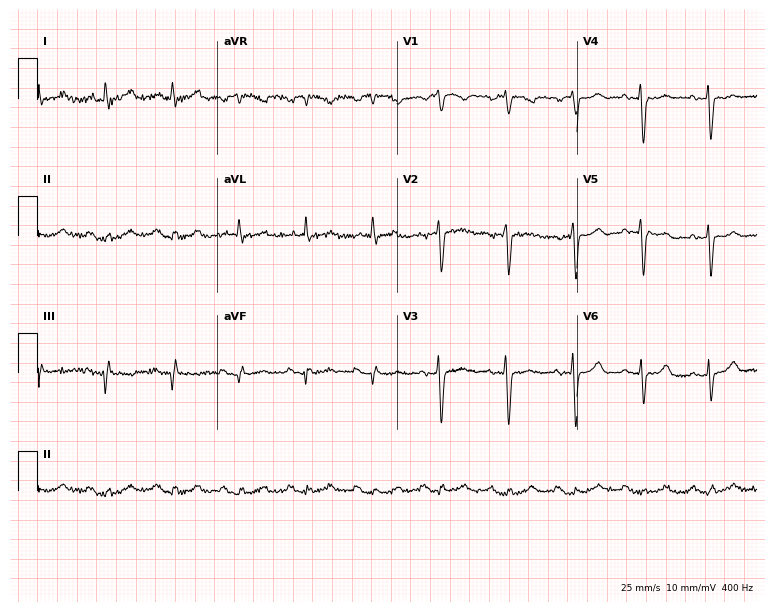
12-lead ECG from a woman, 74 years old. No first-degree AV block, right bundle branch block, left bundle branch block, sinus bradycardia, atrial fibrillation or sinus tachycardia recorded for this tracing.